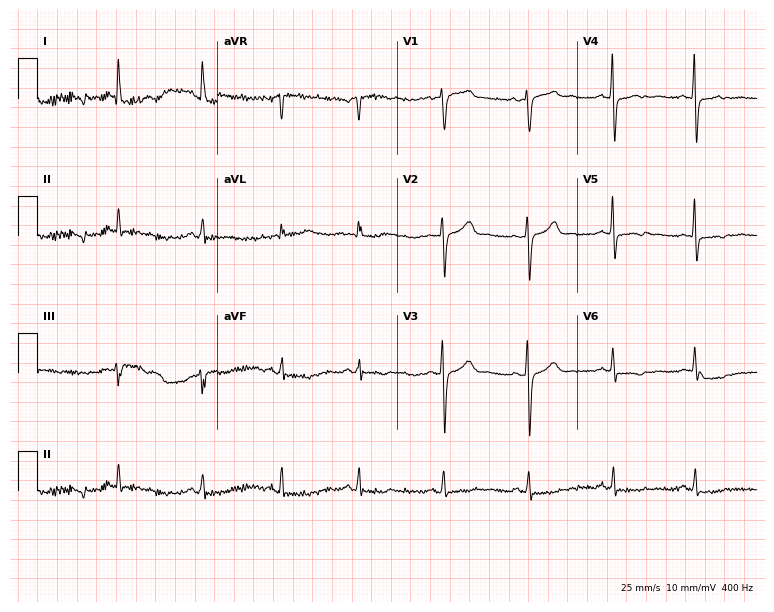
Standard 12-lead ECG recorded from a 61-year-old female. None of these six findings is recorded: first-degree AV block, right bundle branch block, left bundle branch block, sinus bradycardia, atrial fibrillation, sinus tachycardia.